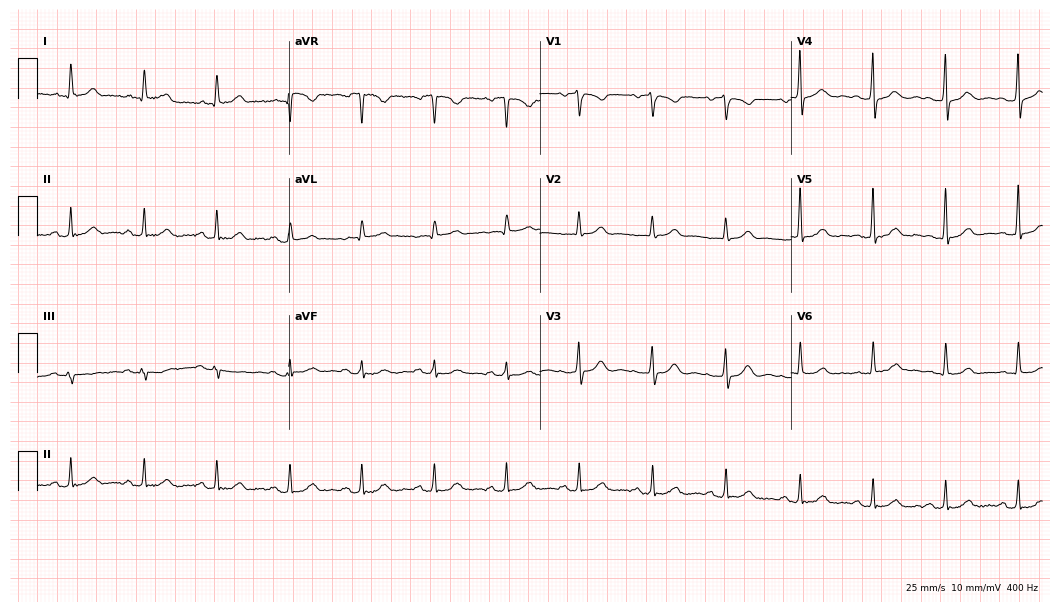
12-lead ECG (10.2-second recording at 400 Hz) from a man, 77 years old. Labelled as a normal ECG.